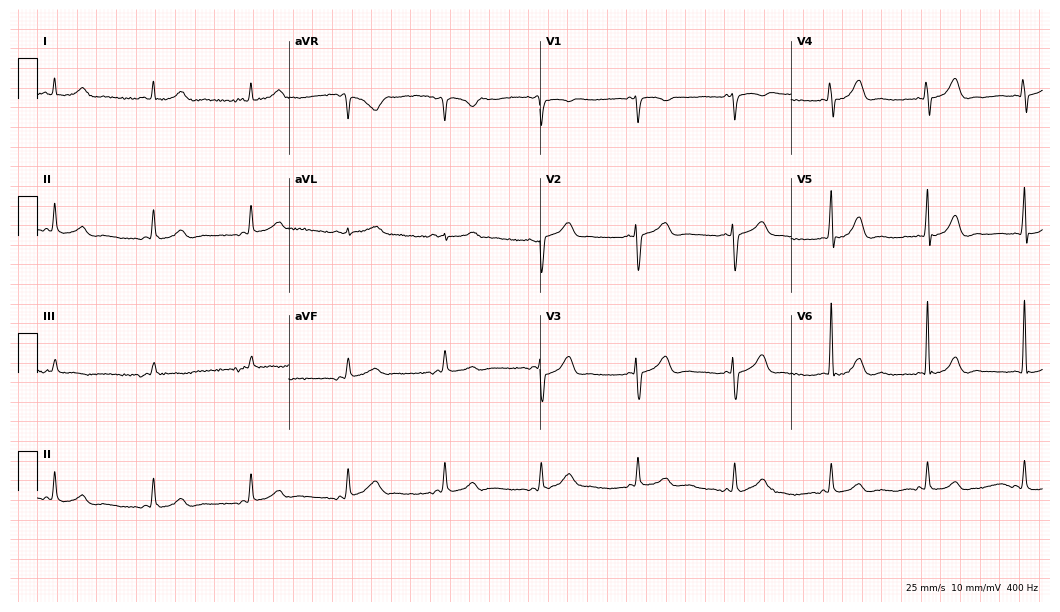
ECG (10.2-second recording at 400 Hz) — a 52-year-old woman. Labelled as a normal ECG.